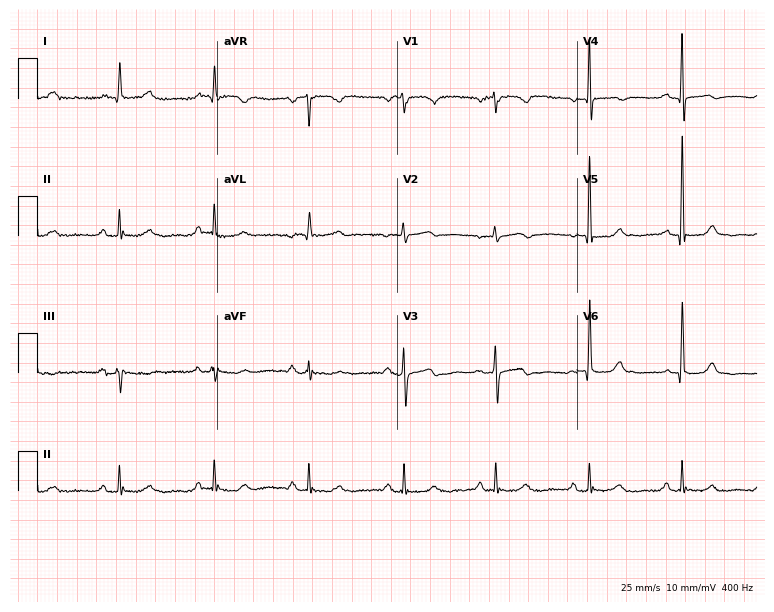
12-lead ECG from a 79-year-old female patient. Labelled as a normal ECG.